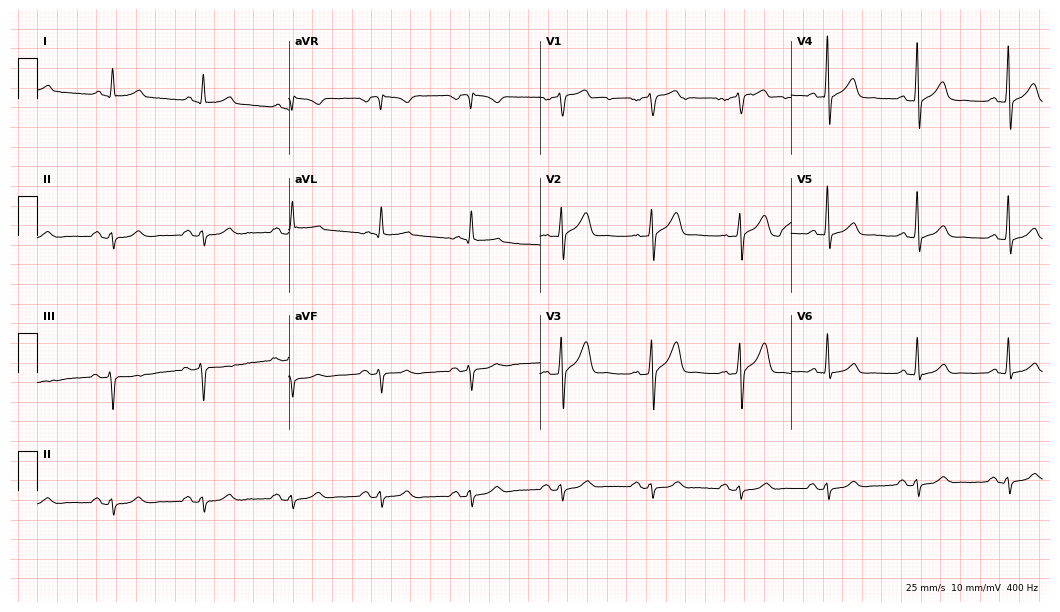
12-lead ECG from a 66-year-old male. No first-degree AV block, right bundle branch block (RBBB), left bundle branch block (LBBB), sinus bradycardia, atrial fibrillation (AF) or sinus tachycardia recorded for this tracing. Findings outside these six are not listed.